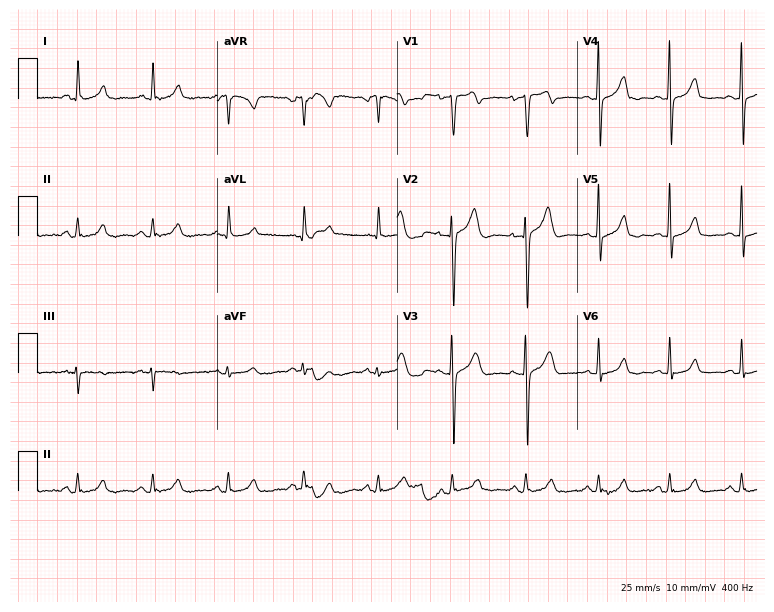
Standard 12-lead ECG recorded from a woman, 45 years old. Read as a normal ECG.